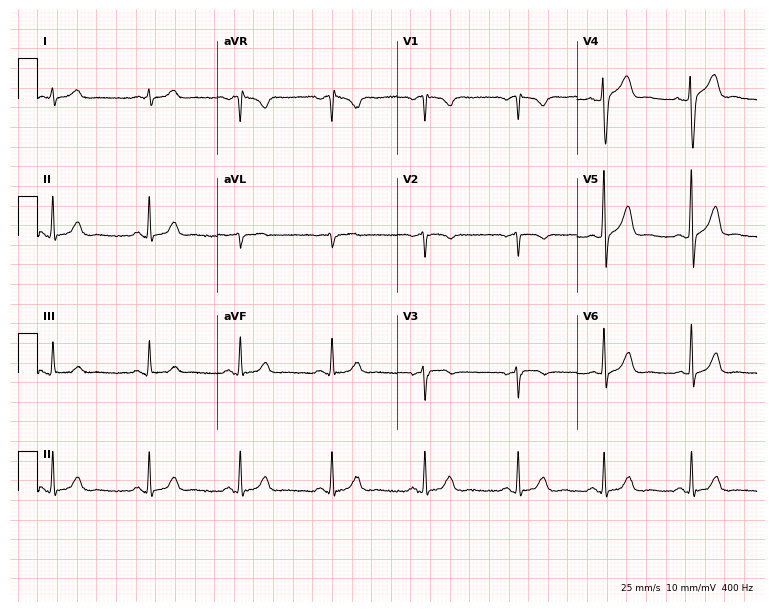
Electrocardiogram, a male patient, 31 years old. Of the six screened findings (first-degree AV block, right bundle branch block (RBBB), left bundle branch block (LBBB), sinus bradycardia, atrial fibrillation (AF), sinus tachycardia), none is recorded. Other findings, if any, are not listed.